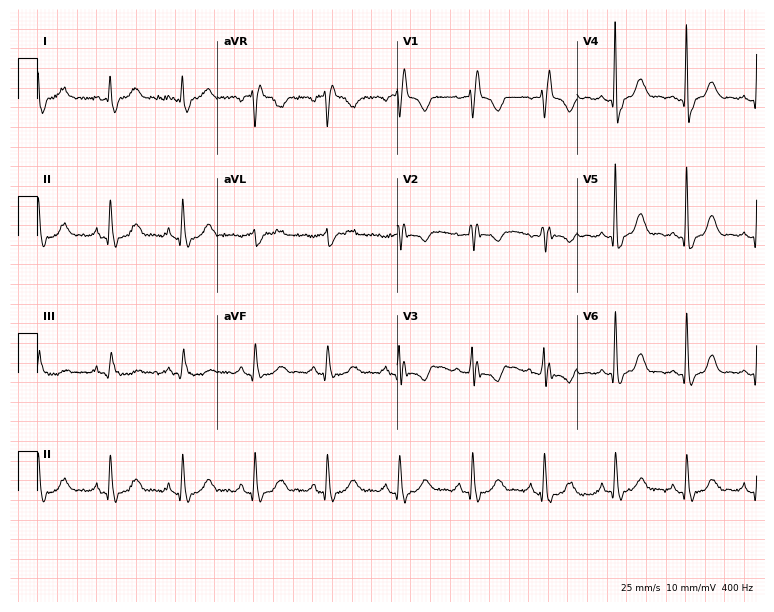
12-lead ECG (7.3-second recording at 400 Hz) from a 65-year-old woman. Findings include right bundle branch block (RBBB).